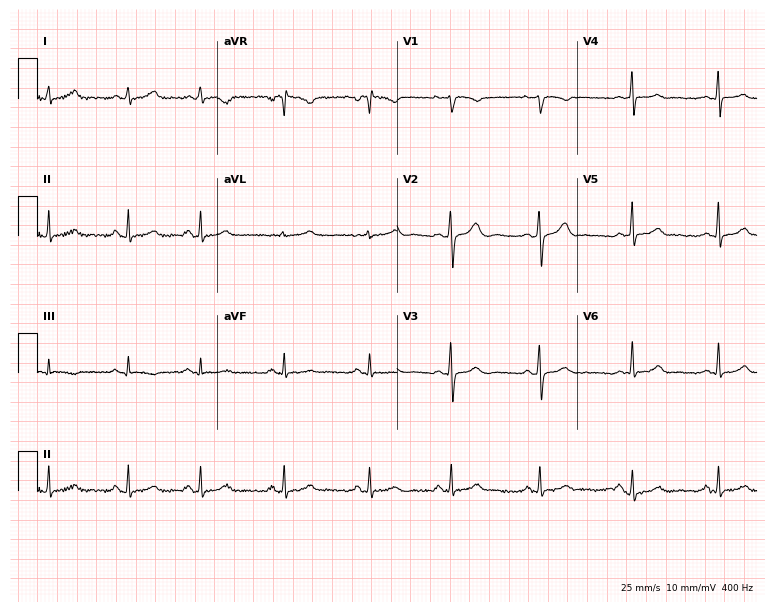
Electrocardiogram, a 27-year-old female. Overall reading on record: normal ECG.